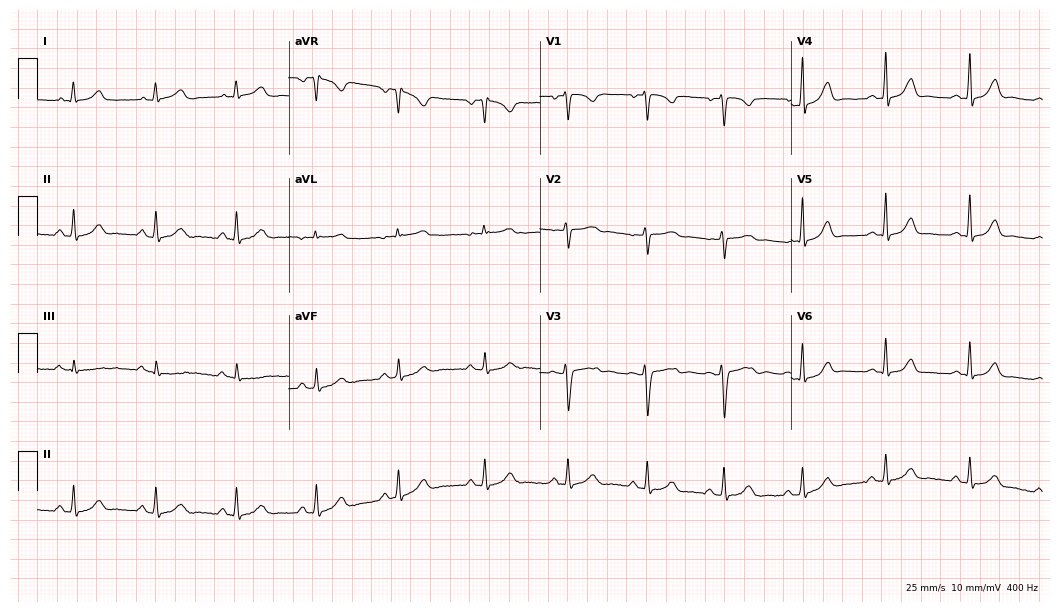
ECG (10.2-second recording at 400 Hz) — a female, 38 years old. Labelled as a normal ECG.